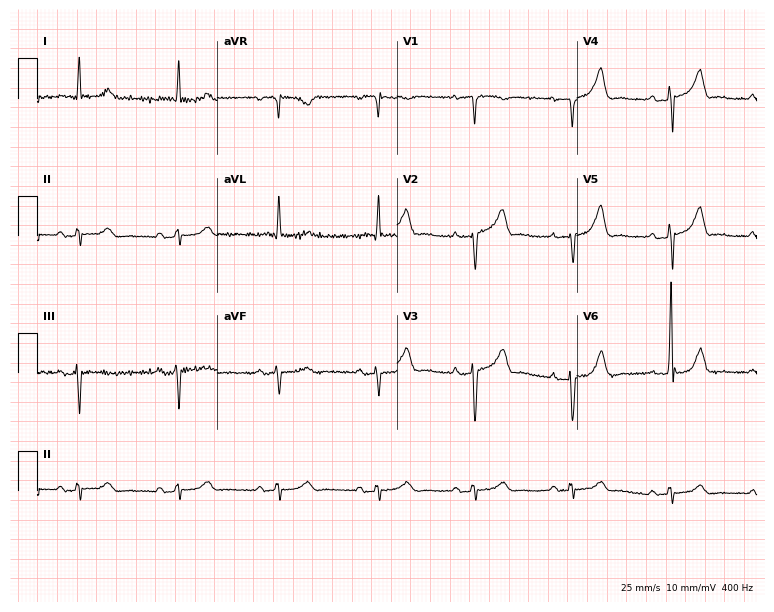
ECG (7.3-second recording at 400 Hz) — an 82-year-old male patient. Labelled as a normal ECG.